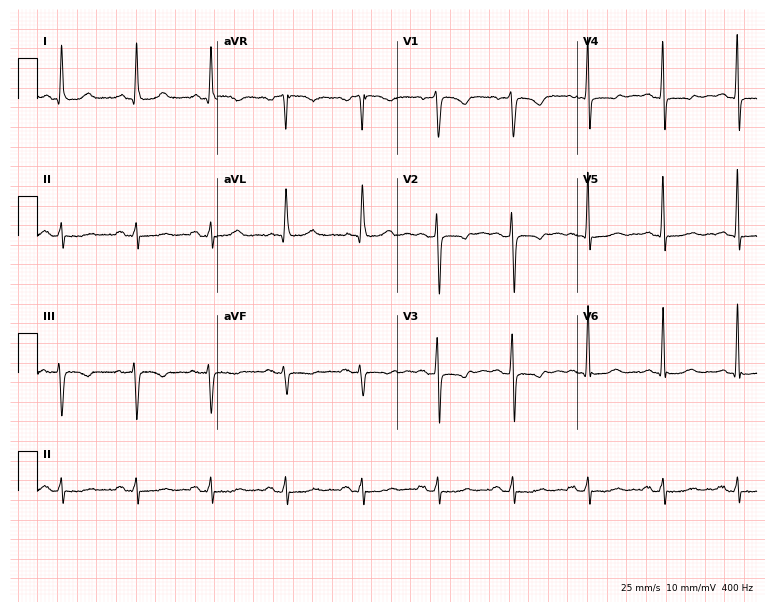
ECG — a 71-year-old woman. Screened for six findings — first-degree AV block, right bundle branch block (RBBB), left bundle branch block (LBBB), sinus bradycardia, atrial fibrillation (AF), sinus tachycardia — none is recorded. Other findings, if any, are not listed.